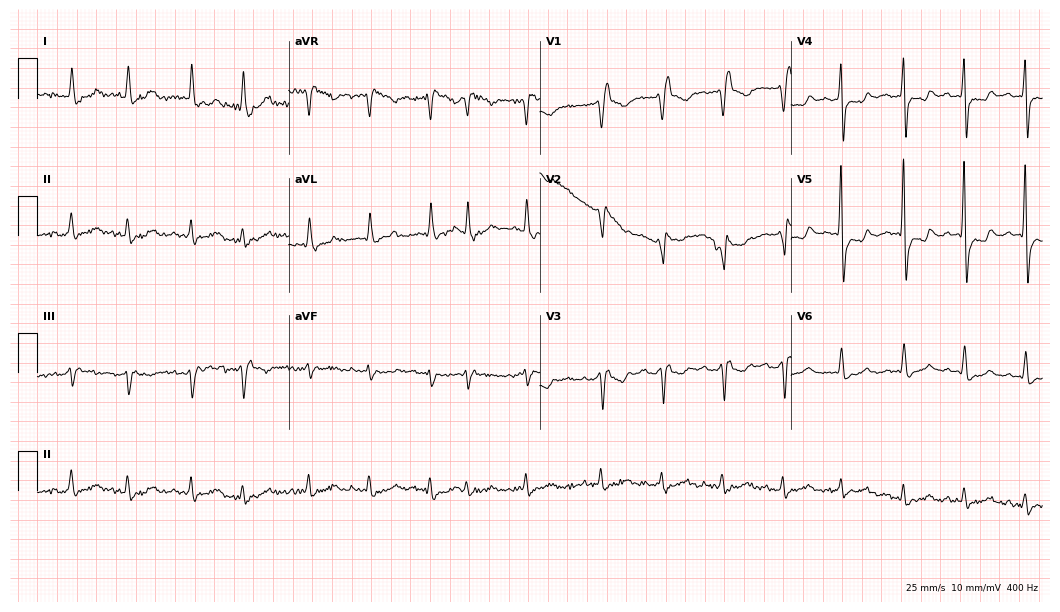
12-lead ECG (10.2-second recording at 400 Hz) from an 82-year-old man. Screened for six findings — first-degree AV block, right bundle branch block, left bundle branch block, sinus bradycardia, atrial fibrillation, sinus tachycardia — none is recorded. Only these six findings were labelled.